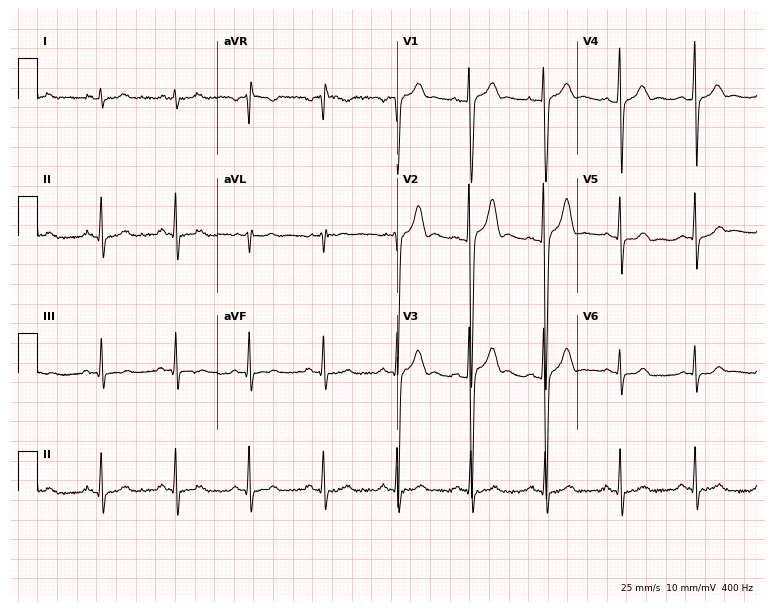
Standard 12-lead ECG recorded from a male, 21 years old. None of these six findings is recorded: first-degree AV block, right bundle branch block, left bundle branch block, sinus bradycardia, atrial fibrillation, sinus tachycardia.